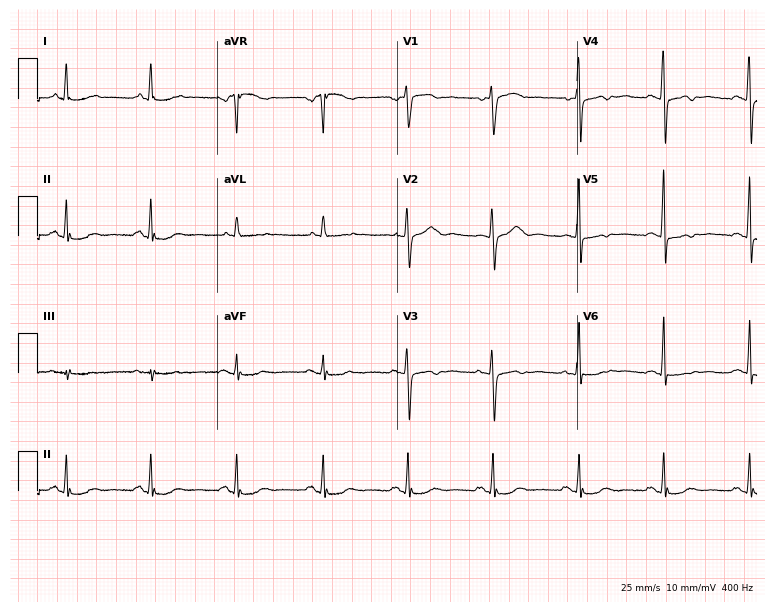
Electrocardiogram (7.3-second recording at 400 Hz), a female patient, 54 years old. Of the six screened findings (first-degree AV block, right bundle branch block (RBBB), left bundle branch block (LBBB), sinus bradycardia, atrial fibrillation (AF), sinus tachycardia), none is recorded.